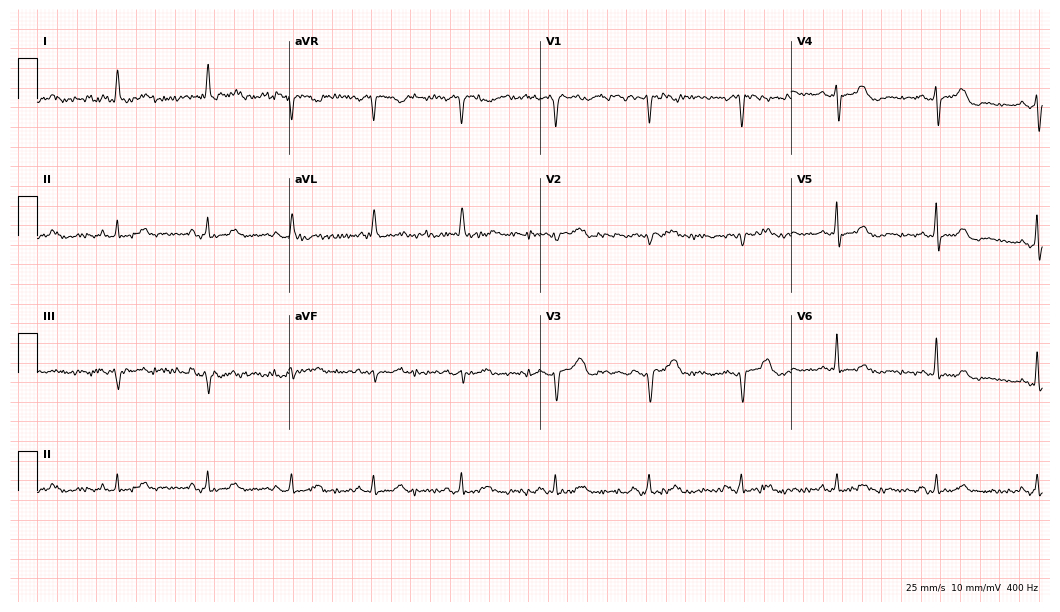
ECG — a male, 71 years old. Screened for six findings — first-degree AV block, right bundle branch block, left bundle branch block, sinus bradycardia, atrial fibrillation, sinus tachycardia — none is recorded.